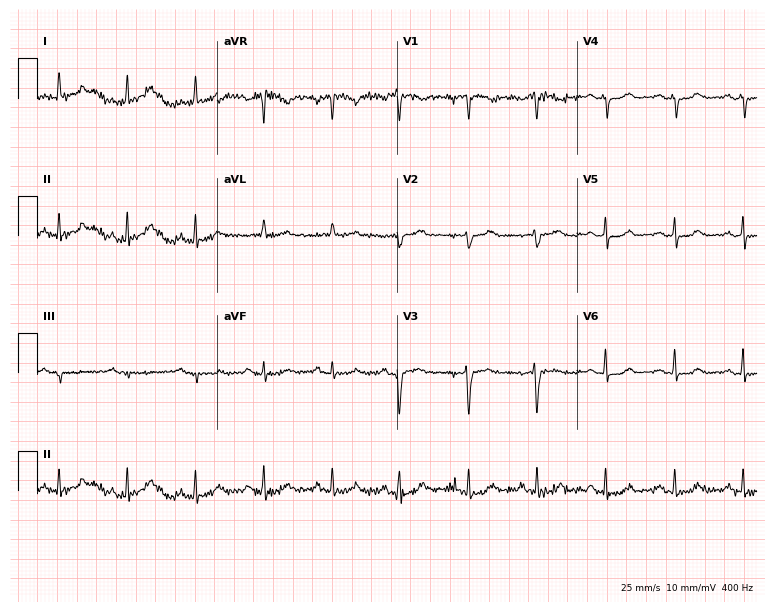
12-lead ECG from a female patient, 62 years old. Labelled as a normal ECG.